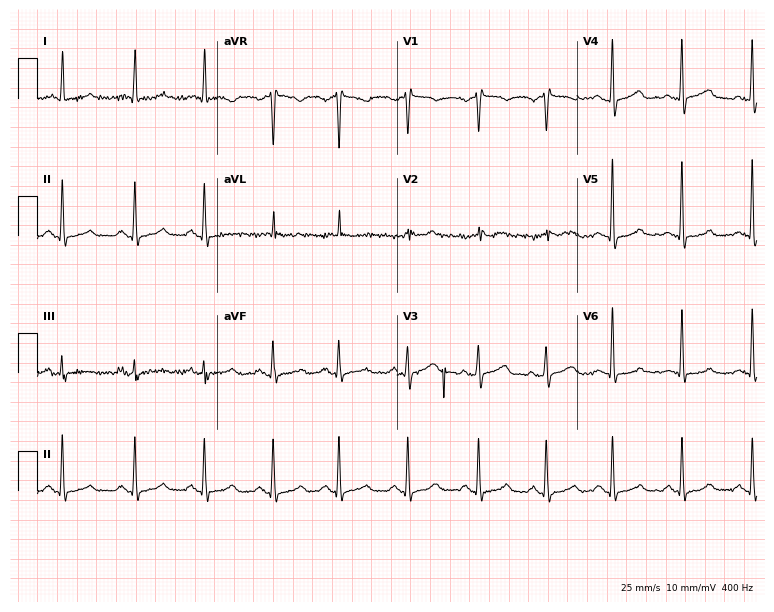
12-lead ECG from a female, 79 years old. Labelled as a normal ECG.